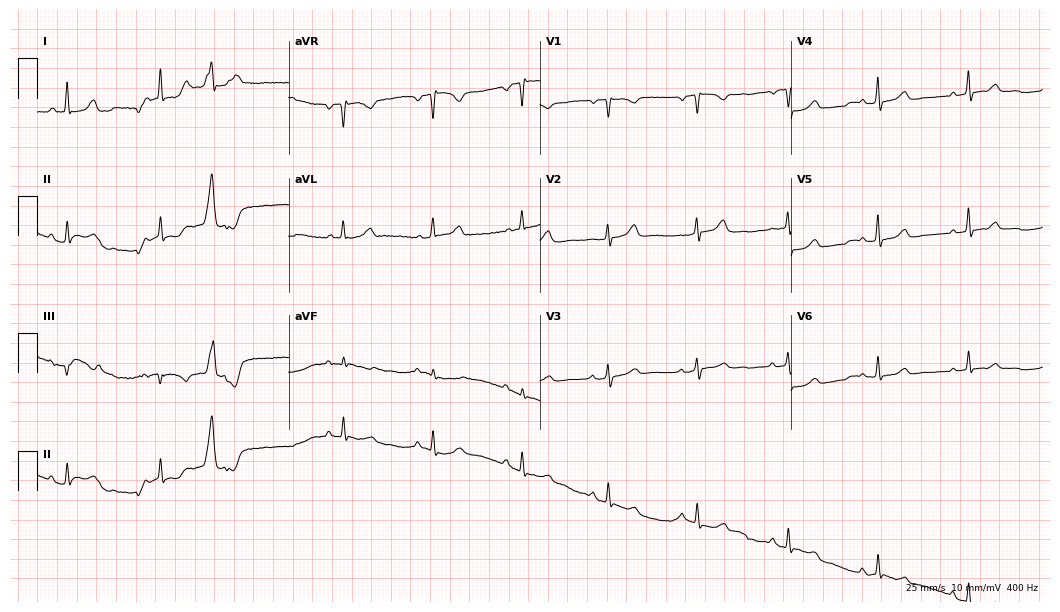
Electrocardiogram (10.2-second recording at 400 Hz), a 69-year-old female. Overall reading on record: normal ECG.